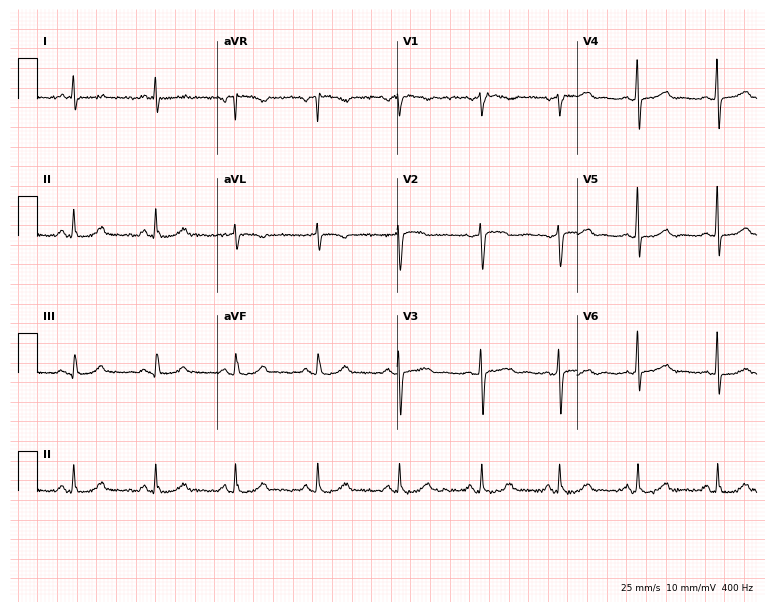
12-lead ECG from a 42-year-old female. No first-degree AV block, right bundle branch block (RBBB), left bundle branch block (LBBB), sinus bradycardia, atrial fibrillation (AF) or sinus tachycardia recorded for this tracing.